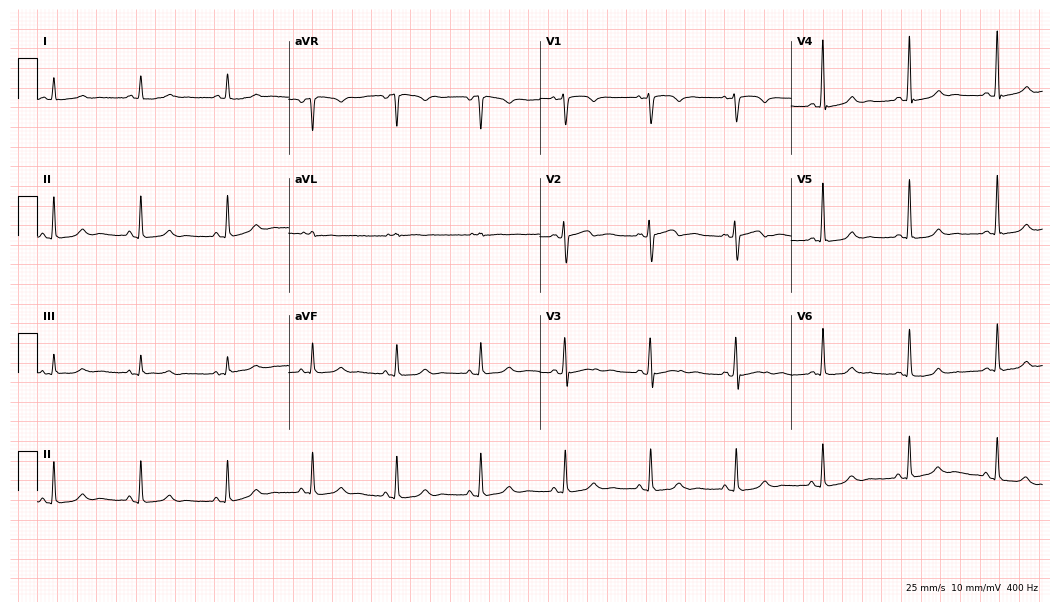
ECG (10.2-second recording at 400 Hz) — a 61-year-old female. Screened for six findings — first-degree AV block, right bundle branch block, left bundle branch block, sinus bradycardia, atrial fibrillation, sinus tachycardia — none is recorded. Findings outside these six are not listed.